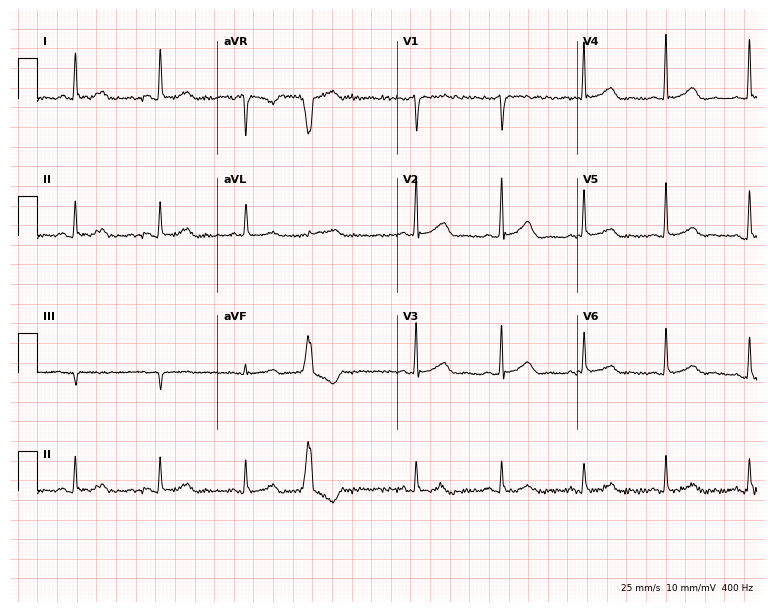
ECG — a 76-year-old female patient. Screened for six findings — first-degree AV block, right bundle branch block, left bundle branch block, sinus bradycardia, atrial fibrillation, sinus tachycardia — none is recorded. Findings outside these six are not listed.